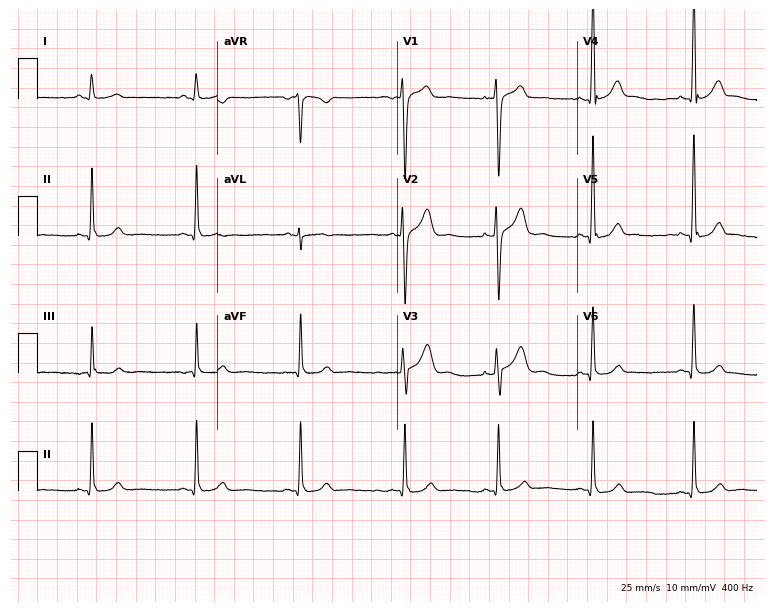
12-lead ECG from a 24-year-old man (7.3-second recording at 400 Hz). Recorded interpretation: within normal limits.